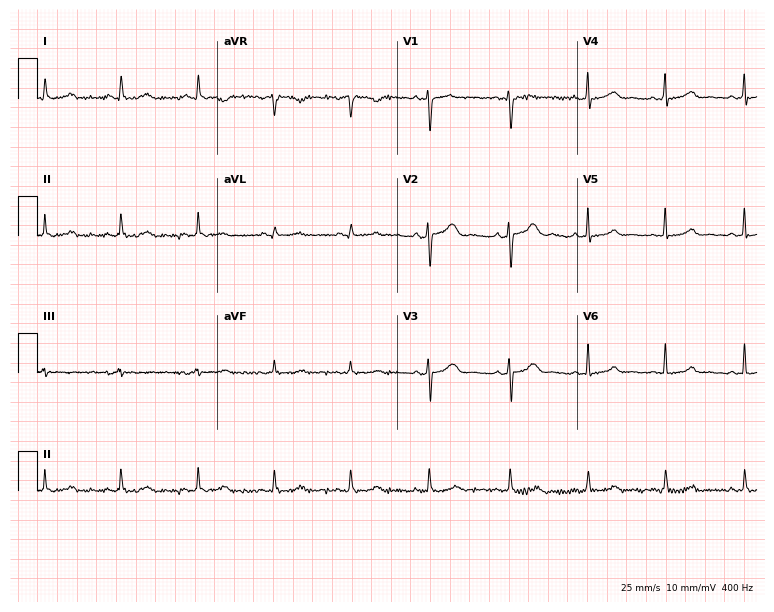
12-lead ECG (7.3-second recording at 400 Hz) from a 34-year-old female patient. Screened for six findings — first-degree AV block, right bundle branch block, left bundle branch block, sinus bradycardia, atrial fibrillation, sinus tachycardia — none is recorded. Other findings, if any, are not listed.